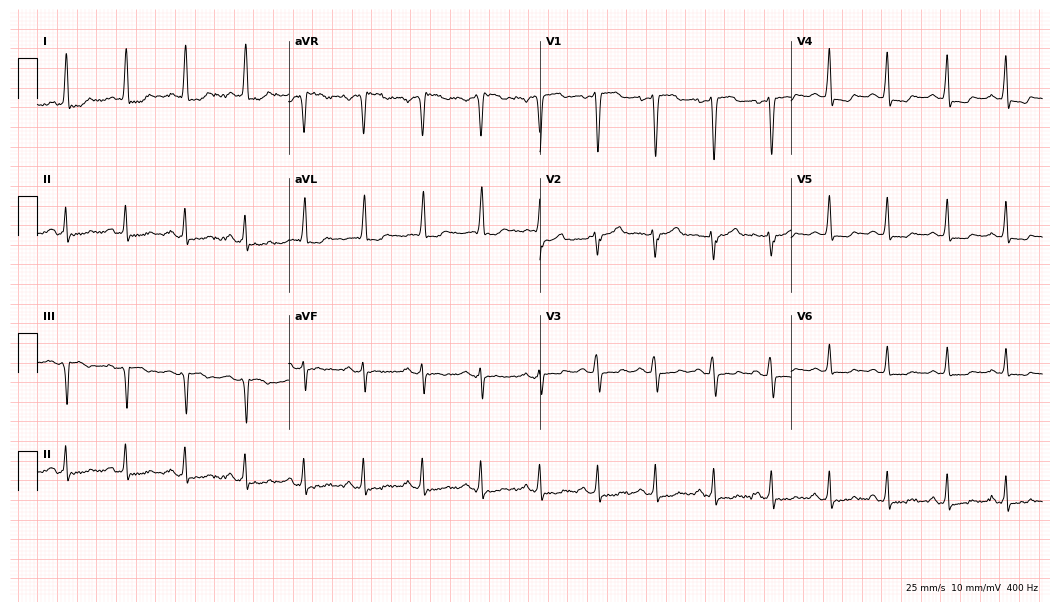
12-lead ECG (10.2-second recording at 400 Hz) from a female patient, 55 years old. Screened for six findings — first-degree AV block, right bundle branch block (RBBB), left bundle branch block (LBBB), sinus bradycardia, atrial fibrillation (AF), sinus tachycardia — none is recorded.